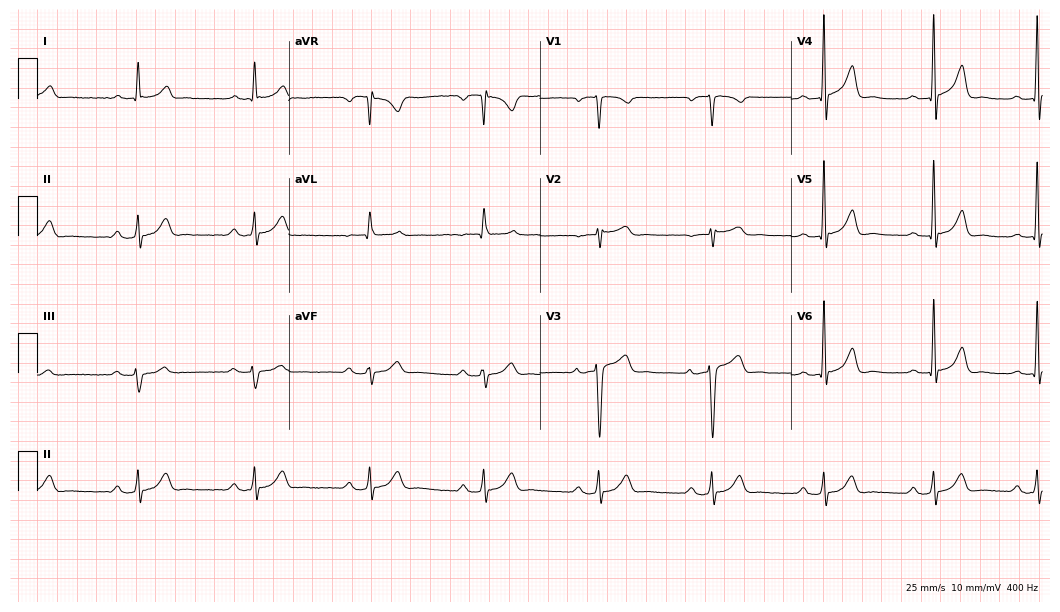
ECG — a male, 67 years old. Findings include first-degree AV block.